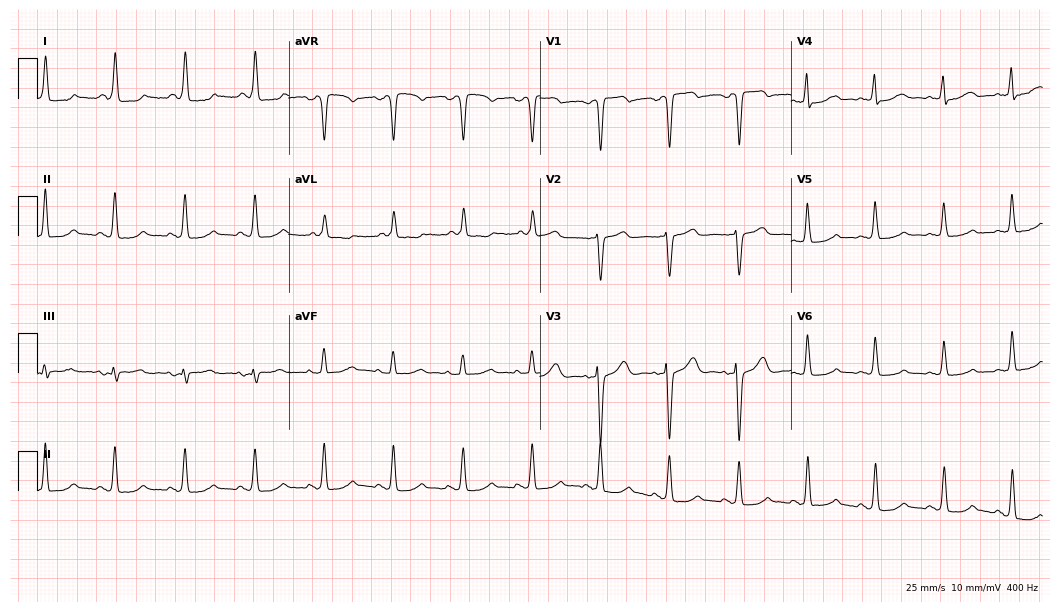
ECG (10.2-second recording at 400 Hz) — a woman, 61 years old. Screened for six findings — first-degree AV block, right bundle branch block, left bundle branch block, sinus bradycardia, atrial fibrillation, sinus tachycardia — none is recorded. Other findings, if any, are not listed.